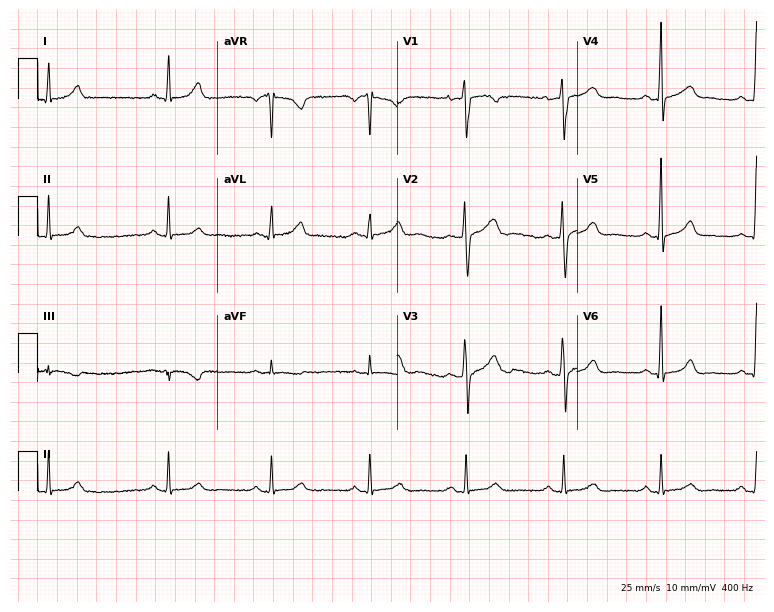
12-lead ECG (7.3-second recording at 400 Hz) from a 39-year-old female patient. Labelled as a normal ECG.